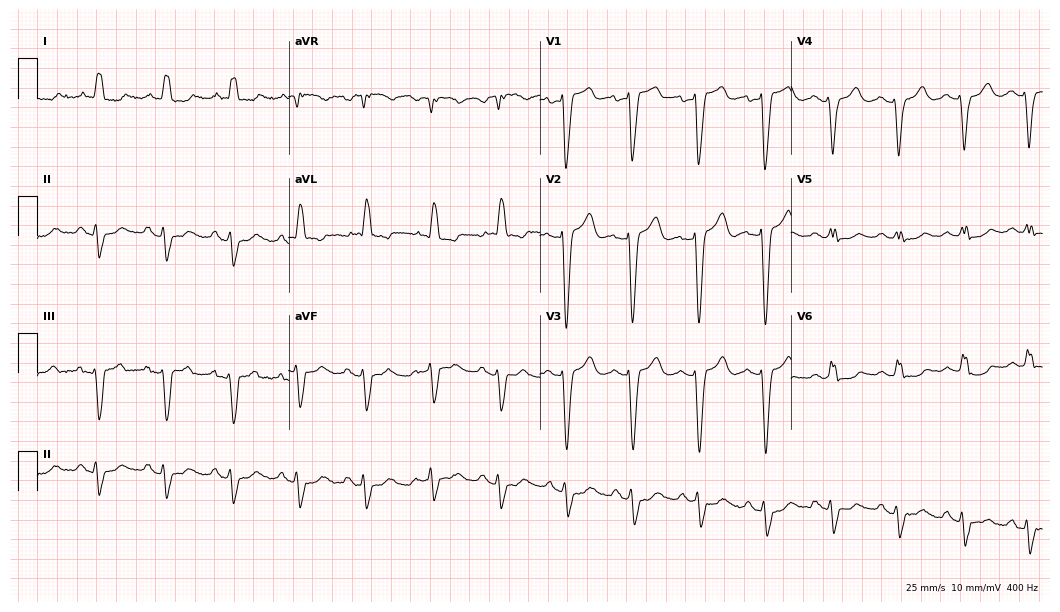
Standard 12-lead ECG recorded from a 76-year-old woman. None of these six findings is recorded: first-degree AV block, right bundle branch block (RBBB), left bundle branch block (LBBB), sinus bradycardia, atrial fibrillation (AF), sinus tachycardia. Other findings, if any, are not listed.